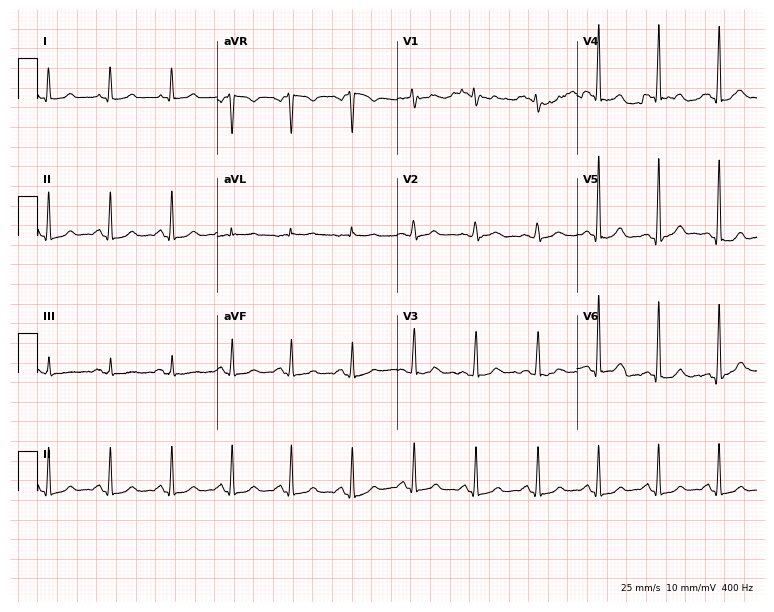
ECG (7.3-second recording at 400 Hz) — a 45-year-old female patient. Labelled as a normal ECG.